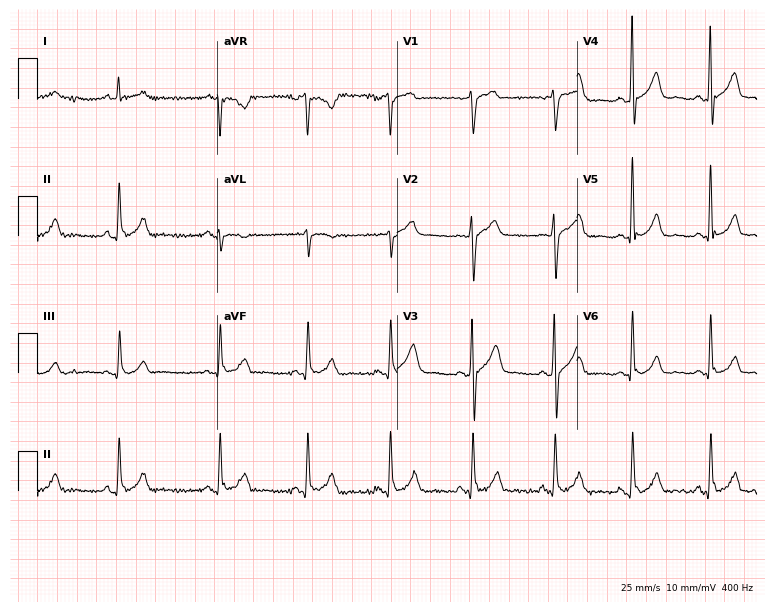
Electrocardiogram, a 46-year-old male patient. Of the six screened findings (first-degree AV block, right bundle branch block, left bundle branch block, sinus bradycardia, atrial fibrillation, sinus tachycardia), none is recorded. Other findings, if any, are not listed.